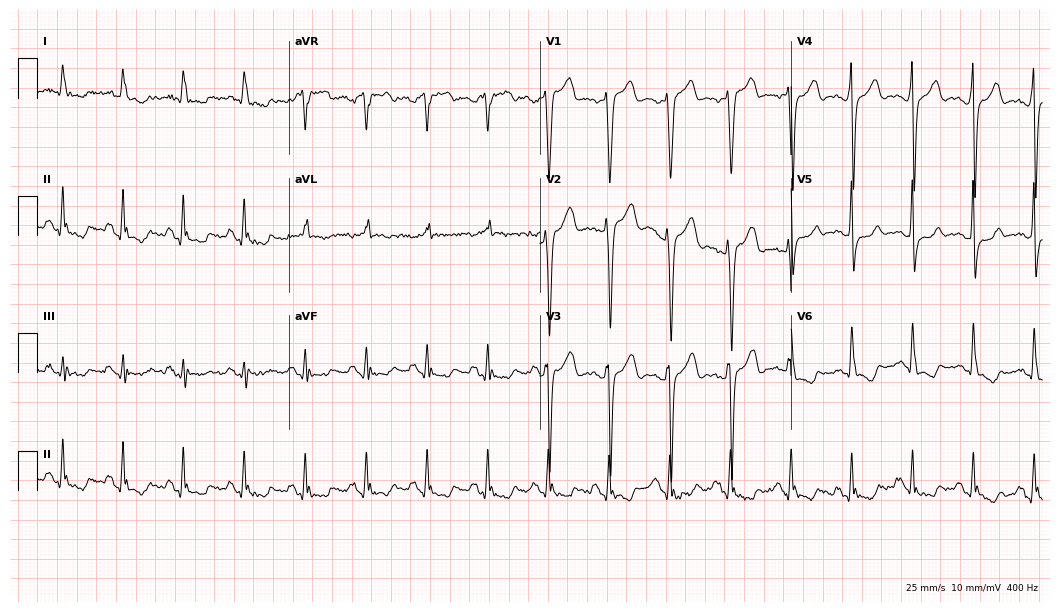
Resting 12-lead electrocardiogram. Patient: a male, 51 years old. None of these six findings is recorded: first-degree AV block, right bundle branch block (RBBB), left bundle branch block (LBBB), sinus bradycardia, atrial fibrillation (AF), sinus tachycardia.